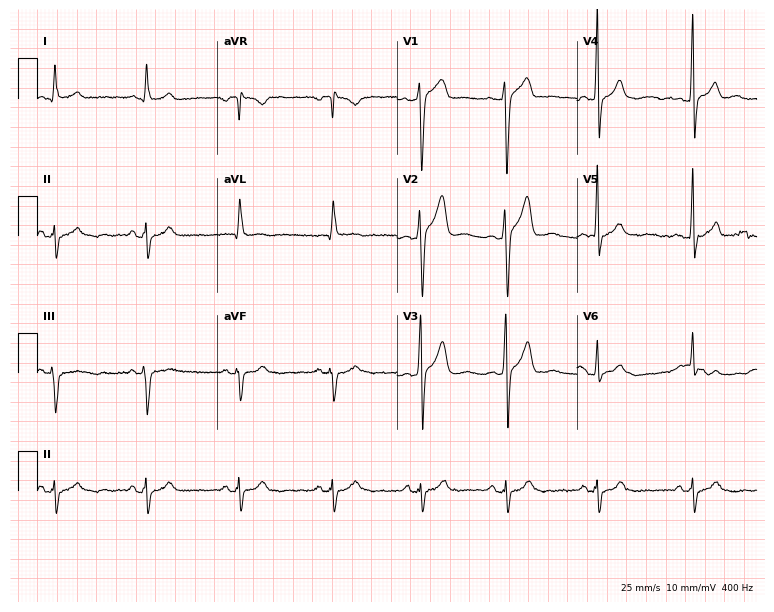
12-lead ECG (7.3-second recording at 400 Hz) from a male, 33 years old. Screened for six findings — first-degree AV block, right bundle branch block (RBBB), left bundle branch block (LBBB), sinus bradycardia, atrial fibrillation (AF), sinus tachycardia — none is recorded.